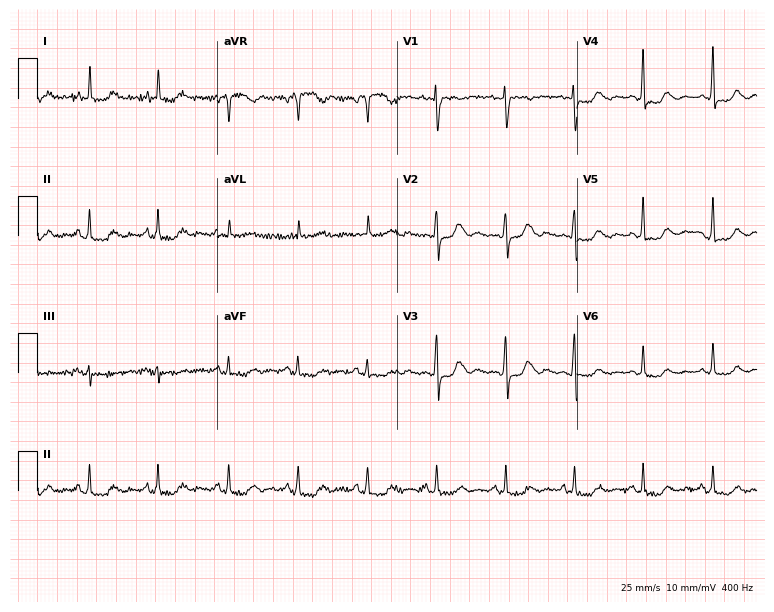
Standard 12-lead ECG recorded from a female patient, 61 years old. None of these six findings is recorded: first-degree AV block, right bundle branch block, left bundle branch block, sinus bradycardia, atrial fibrillation, sinus tachycardia. Findings outside these six are not listed.